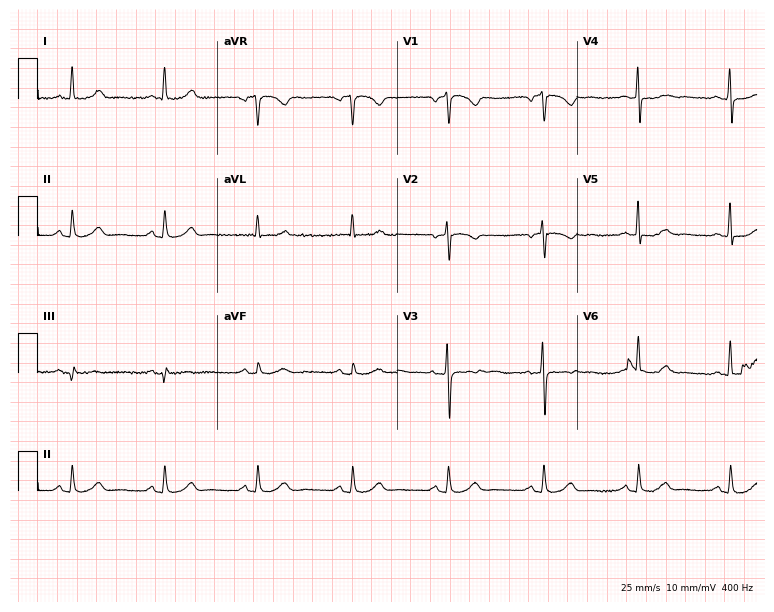
Standard 12-lead ECG recorded from a female patient, 71 years old. None of these six findings is recorded: first-degree AV block, right bundle branch block, left bundle branch block, sinus bradycardia, atrial fibrillation, sinus tachycardia.